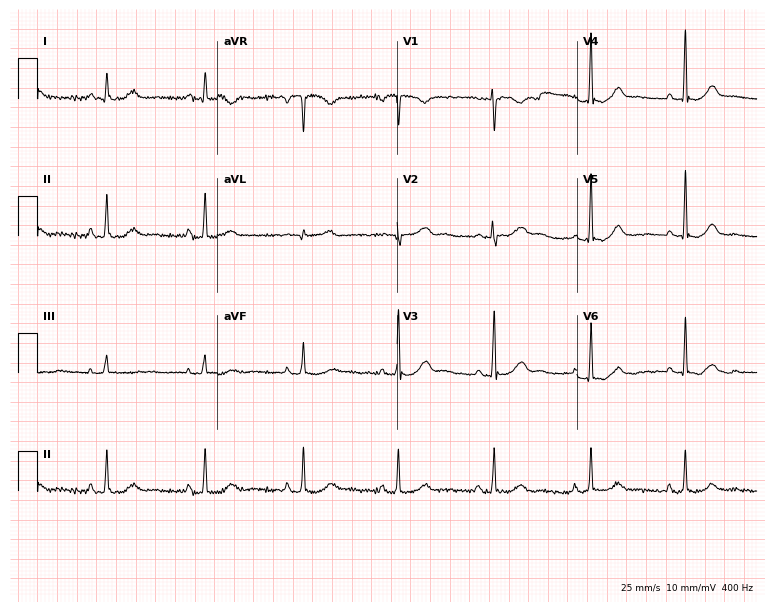
Resting 12-lead electrocardiogram (7.3-second recording at 400 Hz). Patient: a 36-year-old female. None of these six findings is recorded: first-degree AV block, right bundle branch block, left bundle branch block, sinus bradycardia, atrial fibrillation, sinus tachycardia.